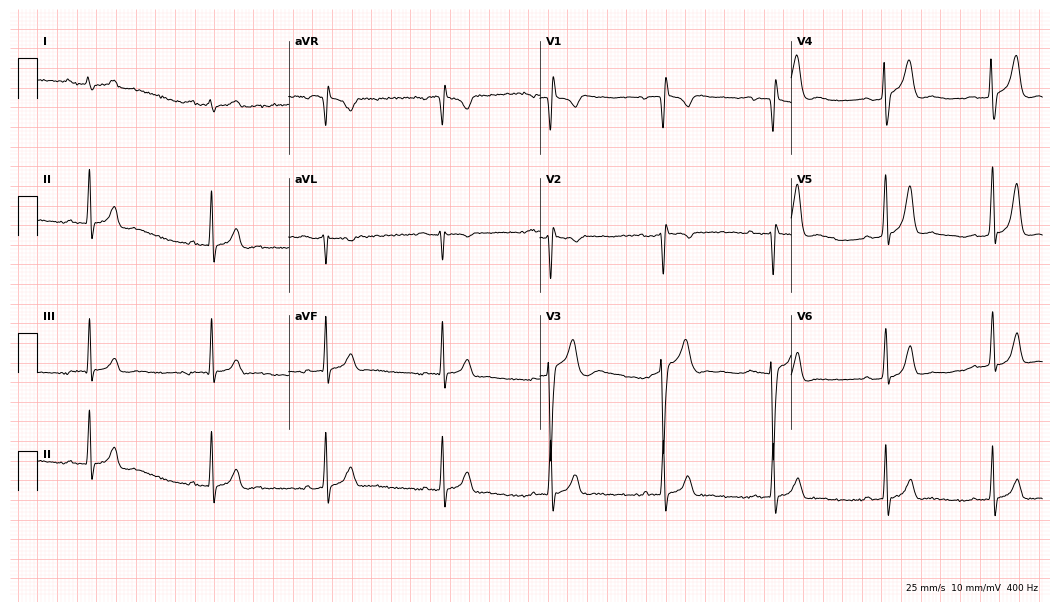
Electrocardiogram (10.2-second recording at 400 Hz), a 30-year-old male patient. Of the six screened findings (first-degree AV block, right bundle branch block, left bundle branch block, sinus bradycardia, atrial fibrillation, sinus tachycardia), none is recorded.